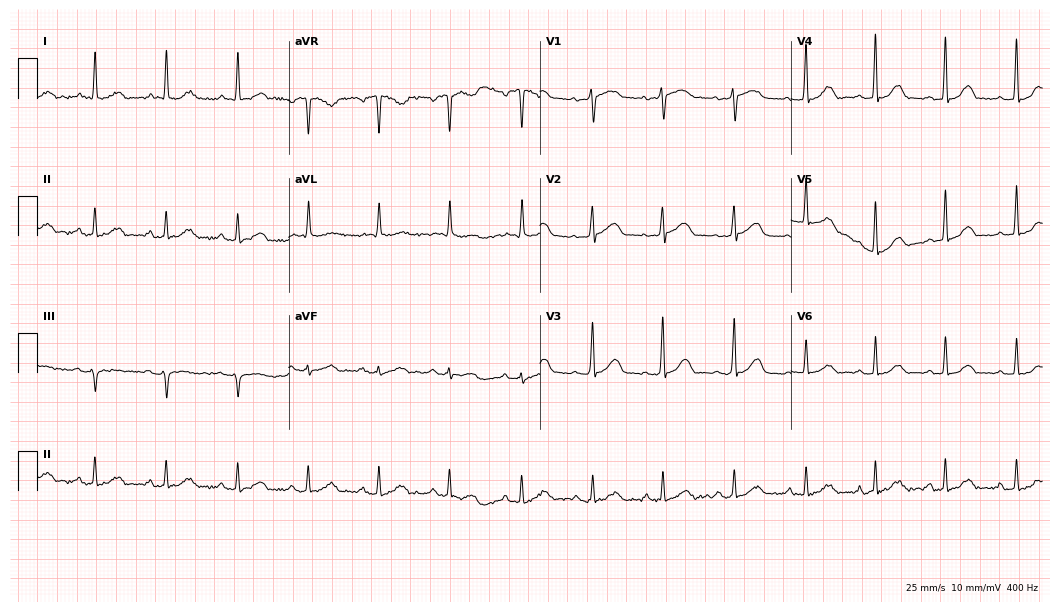
ECG — a female patient, 53 years old. Labelled as a normal ECG.